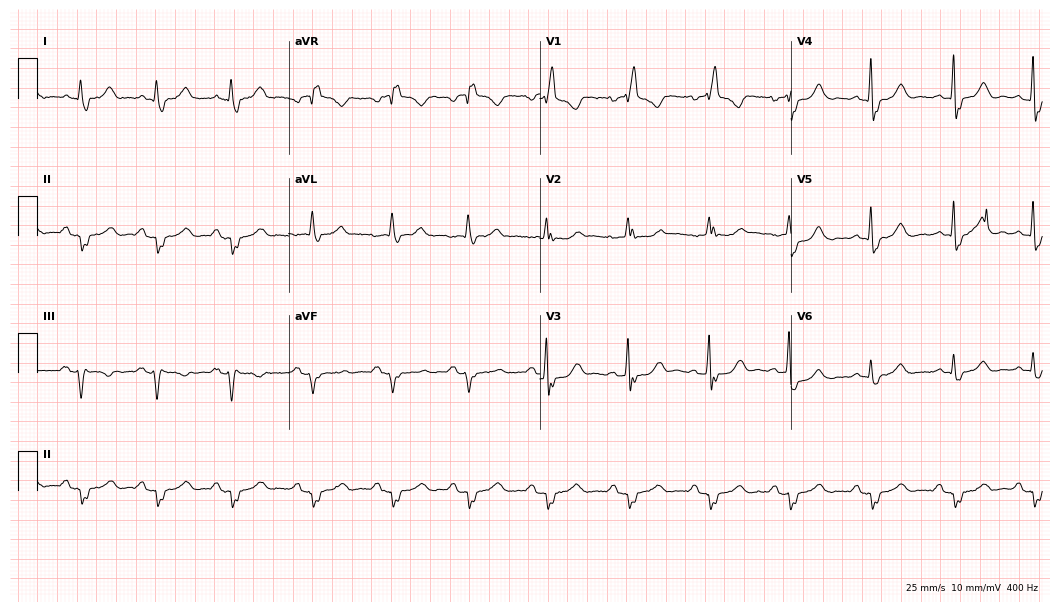
Standard 12-lead ECG recorded from a 72-year-old male patient (10.2-second recording at 400 Hz). The tracing shows right bundle branch block.